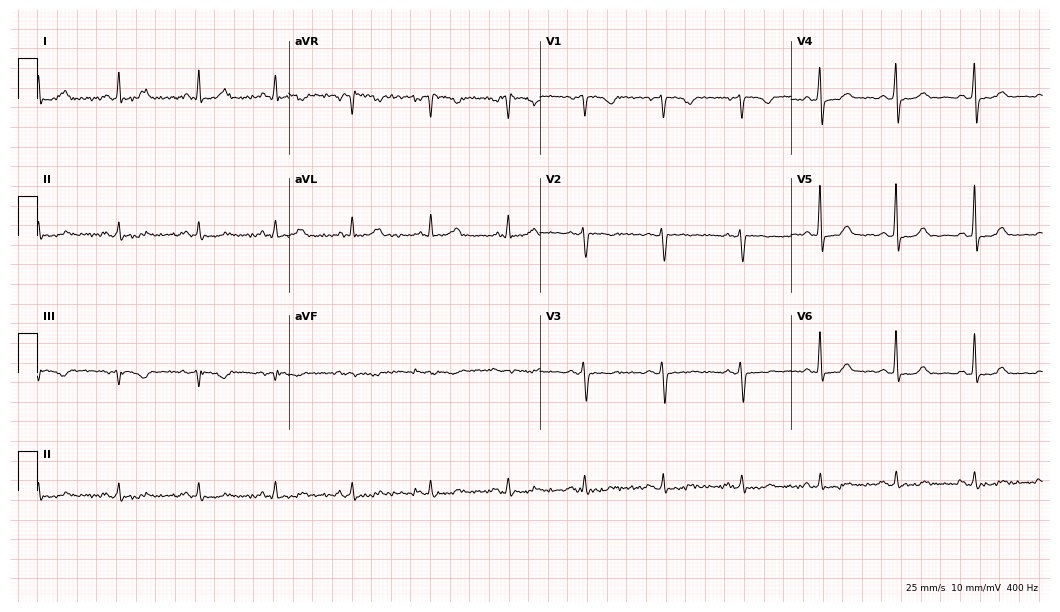
12-lead ECG from a female, 58 years old. No first-degree AV block, right bundle branch block, left bundle branch block, sinus bradycardia, atrial fibrillation or sinus tachycardia recorded for this tracing.